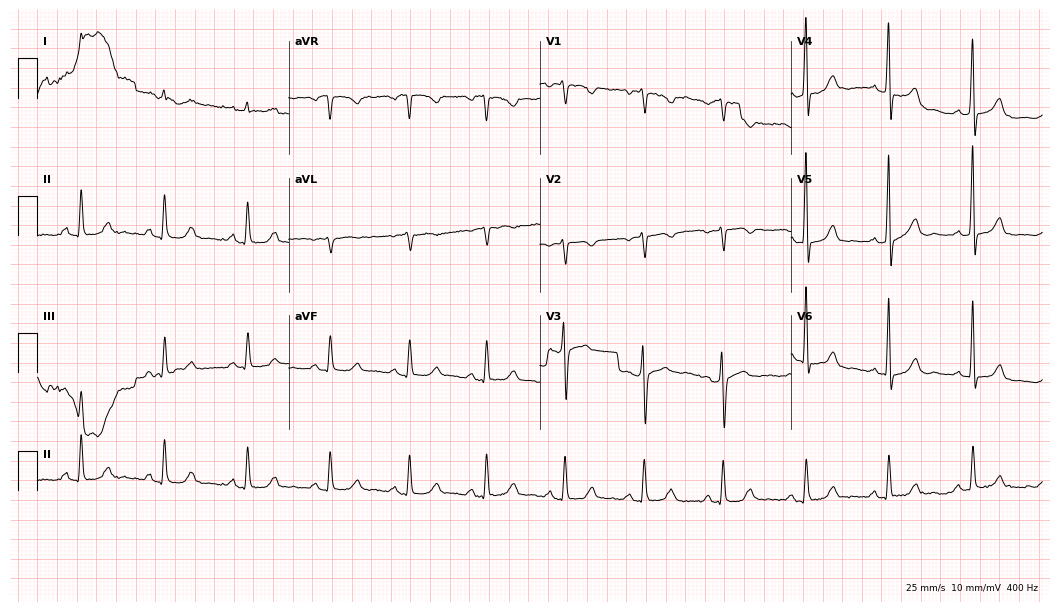
Standard 12-lead ECG recorded from a 74-year-old female patient. Read as a normal ECG.